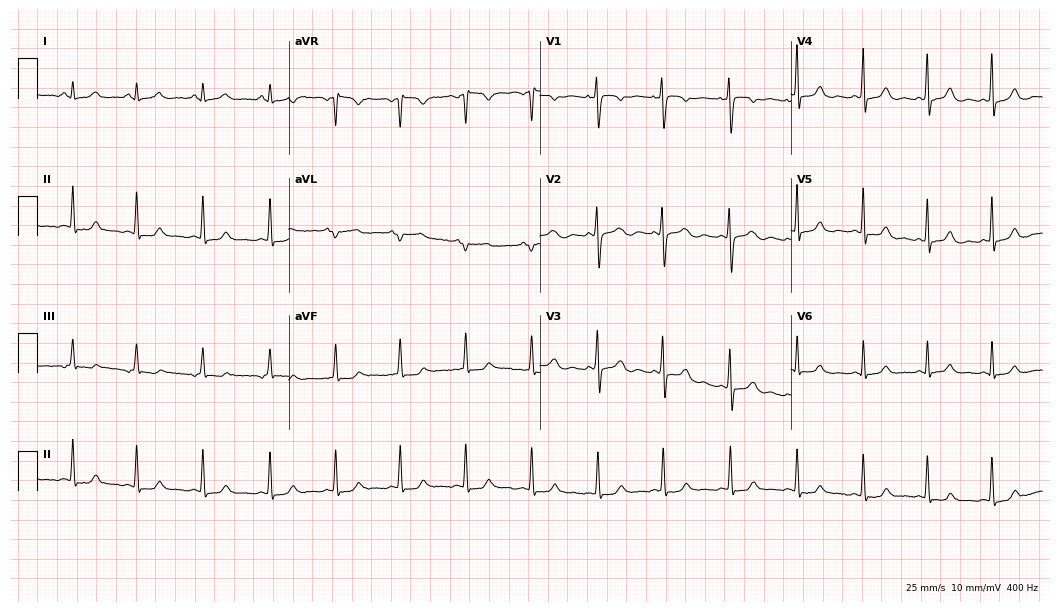
Resting 12-lead electrocardiogram. Patient: a female, 20 years old. Read as a normal ECG.